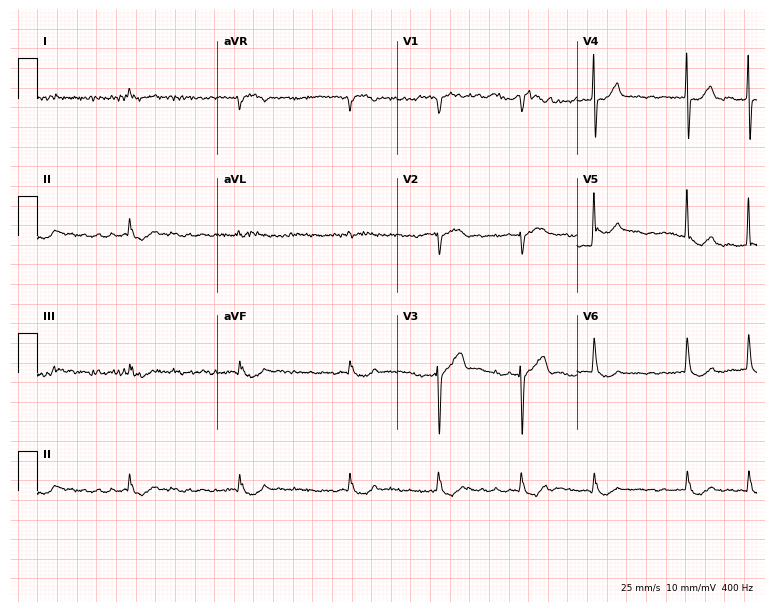
Electrocardiogram (7.3-second recording at 400 Hz), an 83-year-old man. Interpretation includes atrial fibrillation.